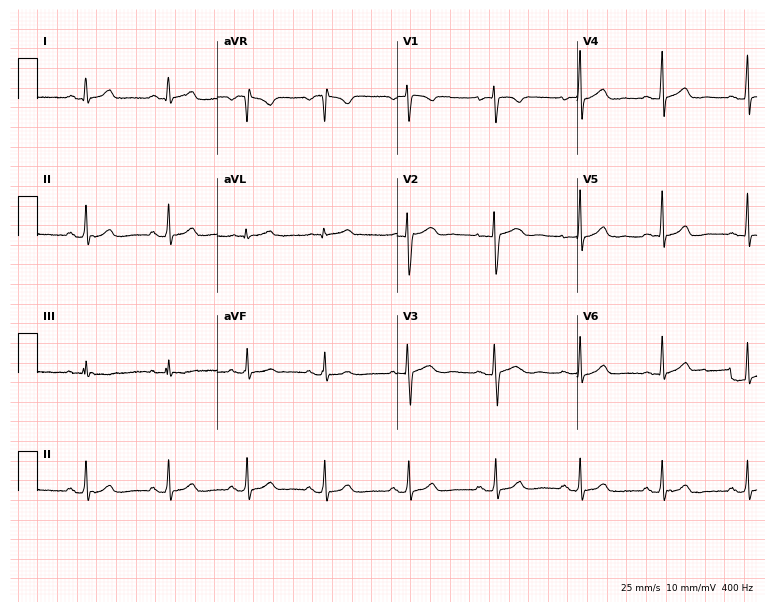
12-lead ECG from a woman, 43 years old. No first-degree AV block, right bundle branch block, left bundle branch block, sinus bradycardia, atrial fibrillation or sinus tachycardia recorded for this tracing.